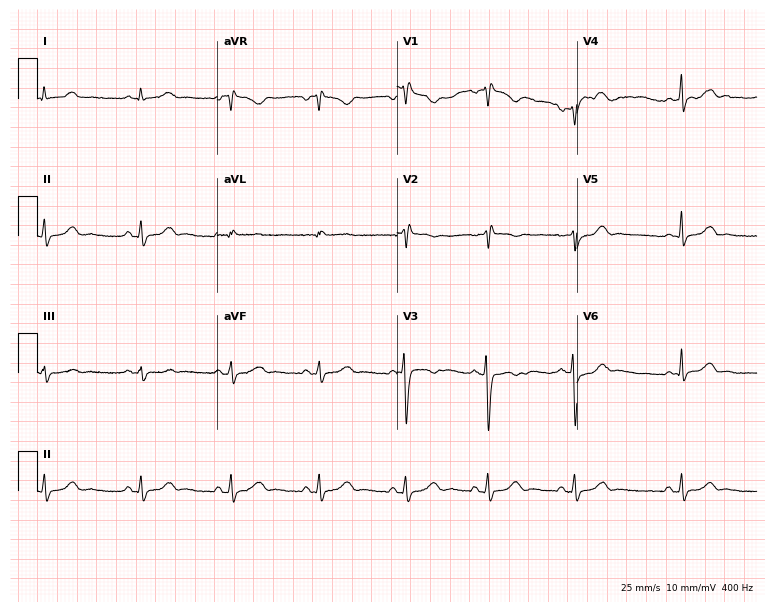
12-lead ECG from a female, 23 years old (7.3-second recording at 400 Hz). No first-degree AV block, right bundle branch block, left bundle branch block, sinus bradycardia, atrial fibrillation or sinus tachycardia recorded for this tracing. Only these six findings were labelled.